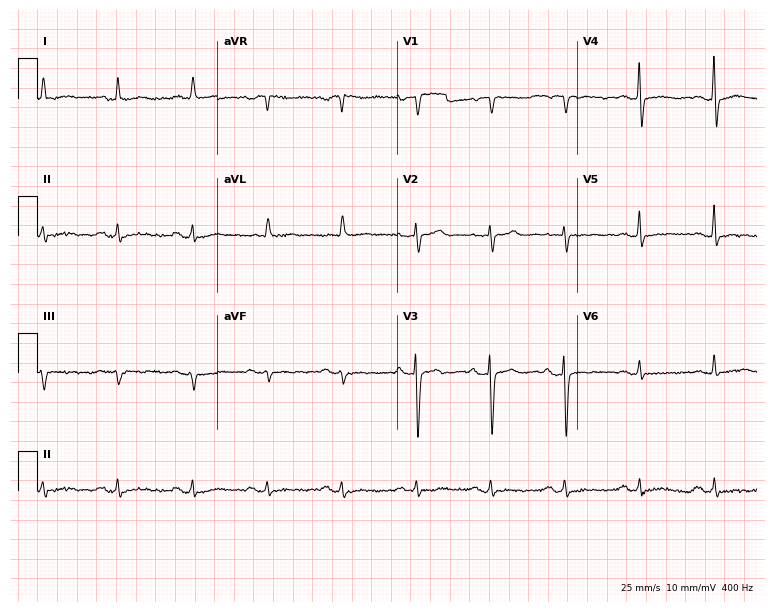
12-lead ECG from a female patient, 86 years old (7.3-second recording at 400 Hz). Recorded interpretation: within normal limits.